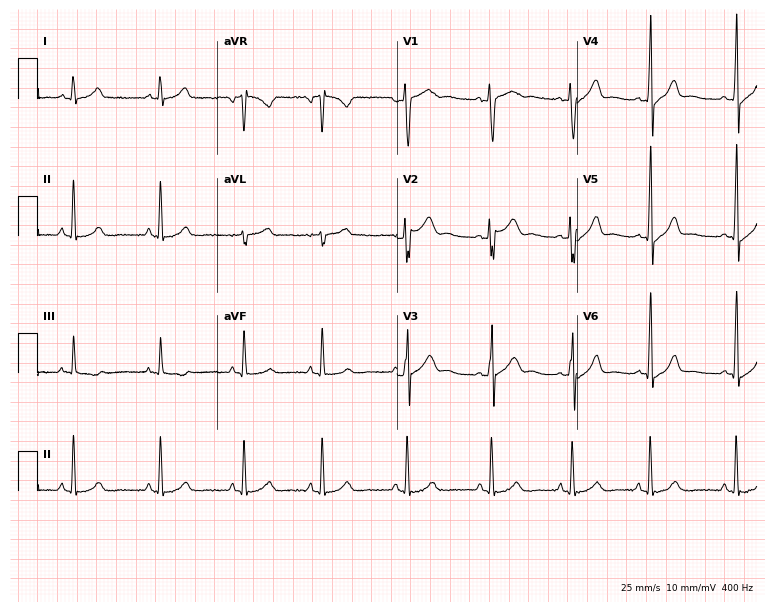
Resting 12-lead electrocardiogram (7.3-second recording at 400 Hz). Patient: a male, 20 years old. None of these six findings is recorded: first-degree AV block, right bundle branch block, left bundle branch block, sinus bradycardia, atrial fibrillation, sinus tachycardia.